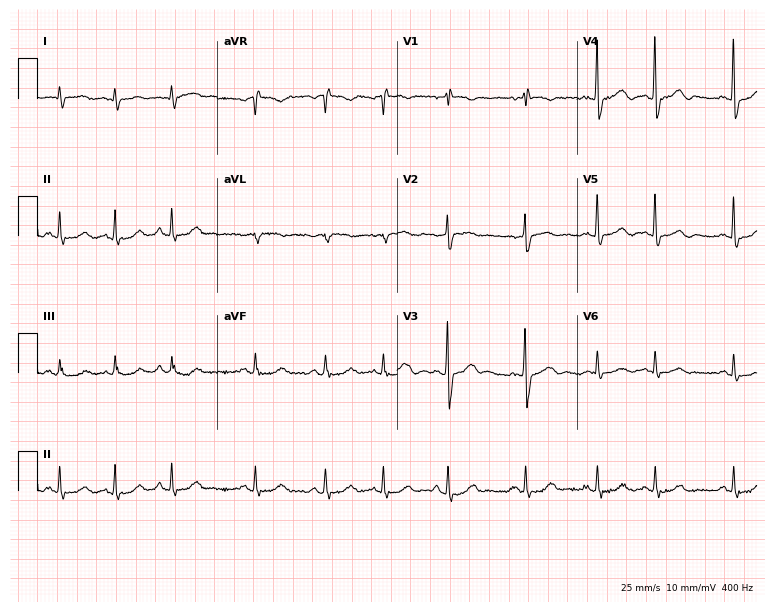
12-lead ECG (7.3-second recording at 400 Hz) from an 81-year-old male patient. Labelled as a normal ECG.